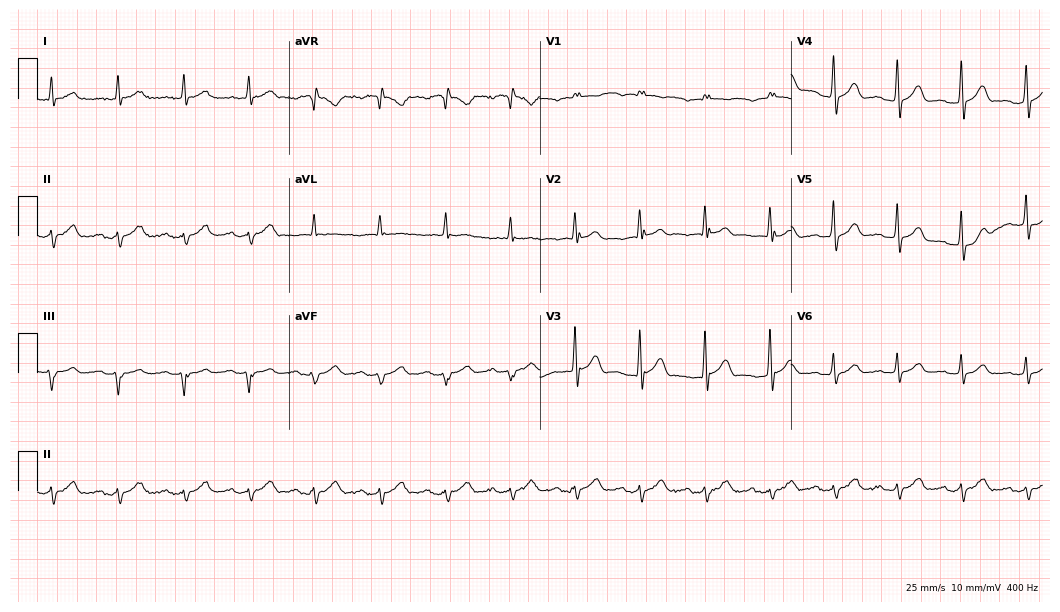
Standard 12-lead ECG recorded from a 73-year-old male. None of these six findings is recorded: first-degree AV block, right bundle branch block (RBBB), left bundle branch block (LBBB), sinus bradycardia, atrial fibrillation (AF), sinus tachycardia.